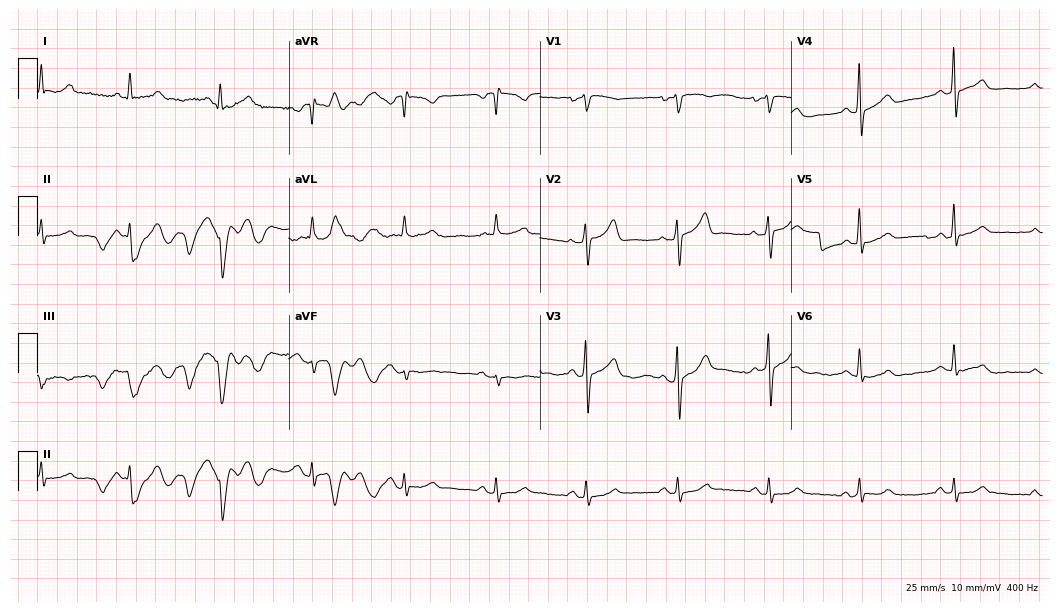
12-lead ECG (10.2-second recording at 400 Hz) from a 56-year-old male patient. Labelled as a normal ECG.